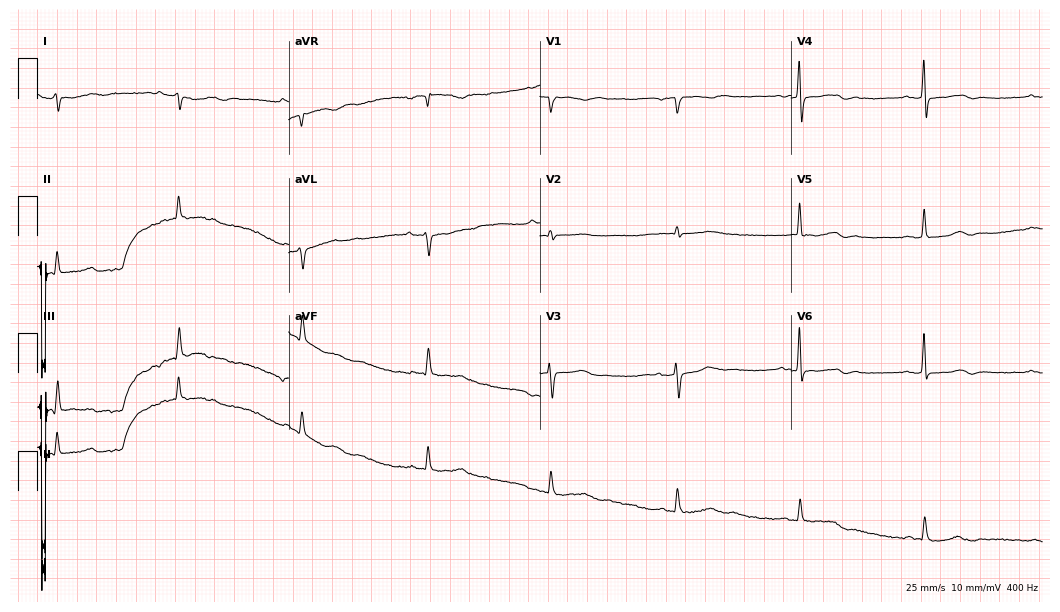
Standard 12-lead ECG recorded from a man, 84 years old (10.2-second recording at 400 Hz). None of these six findings is recorded: first-degree AV block, right bundle branch block (RBBB), left bundle branch block (LBBB), sinus bradycardia, atrial fibrillation (AF), sinus tachycardia. Other findings, if any, are not listed.